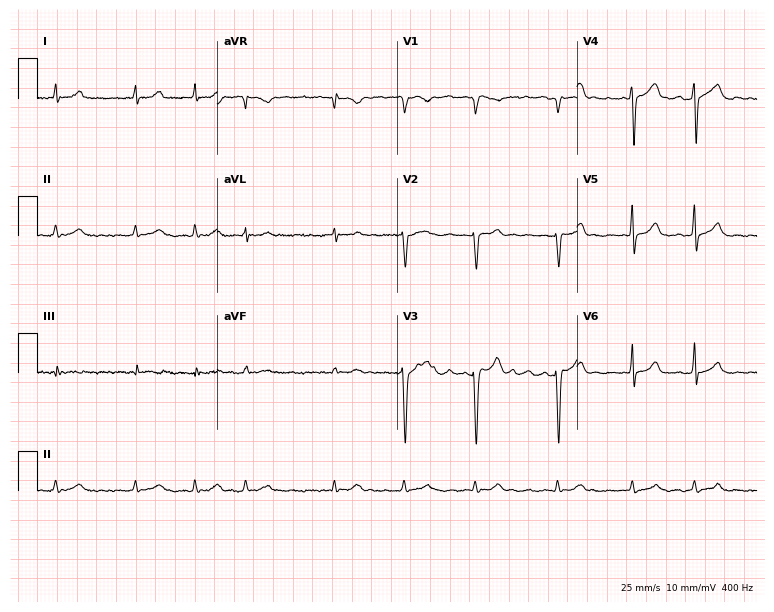
Electrocardiogram, an 80-year-old female. Interpretation includes atrial fibrillation.